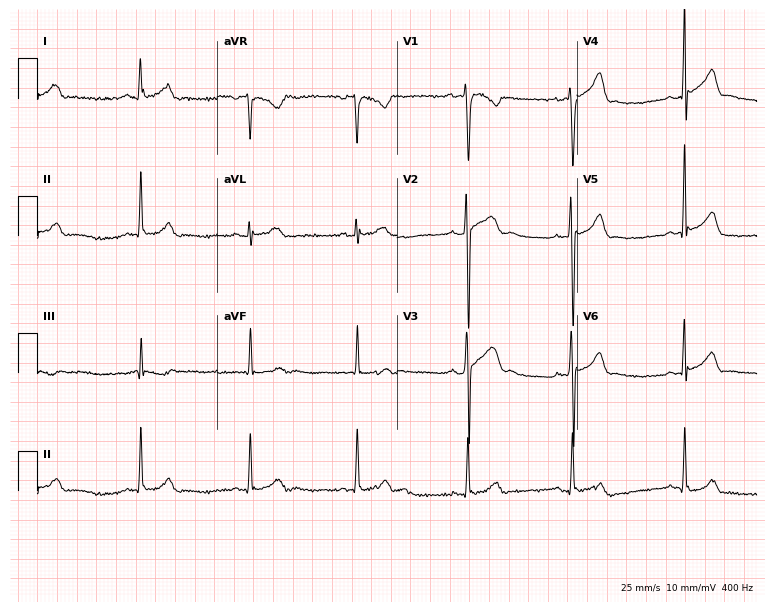
12-lead ECG (7.3-second recording at 400 Hz) from a man, 26 years old. Labelled as a normal ECG.